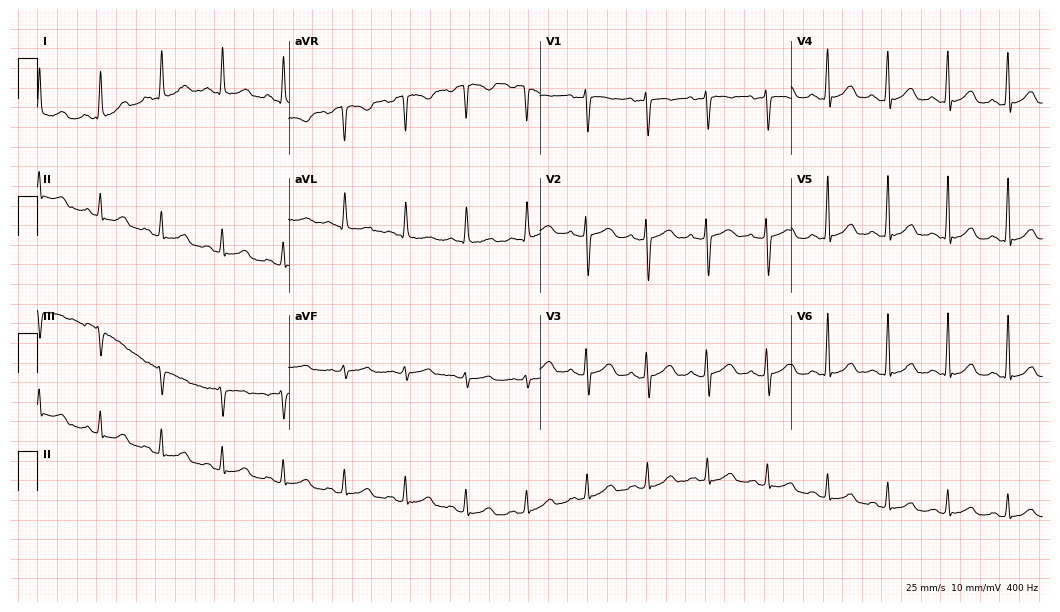
Resting 12-lead electrocardiogram. Patient: a woman, 74 years old. None of these six findings is recorded: first-degree AV block, right bundle branch block, left bundle branch block, sinus bradycardia, atrial fibrillation, sinus tachycardia. Only these six findings were labelled.